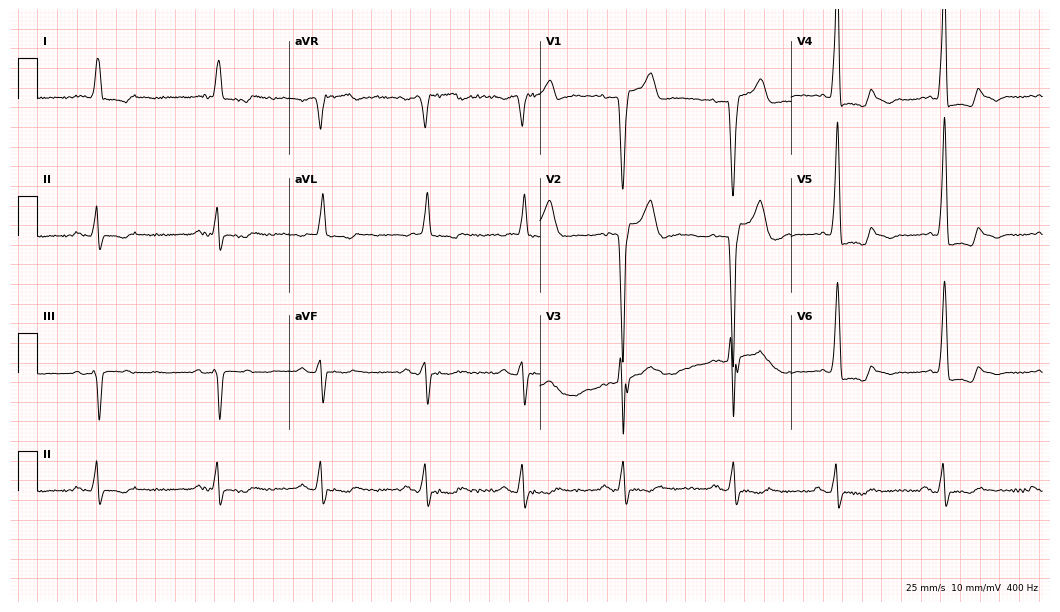
Electrocardiogram (10.2-second recording at 400 Hz), a 65-year-old male. Interpretation includes left bundle branch block.